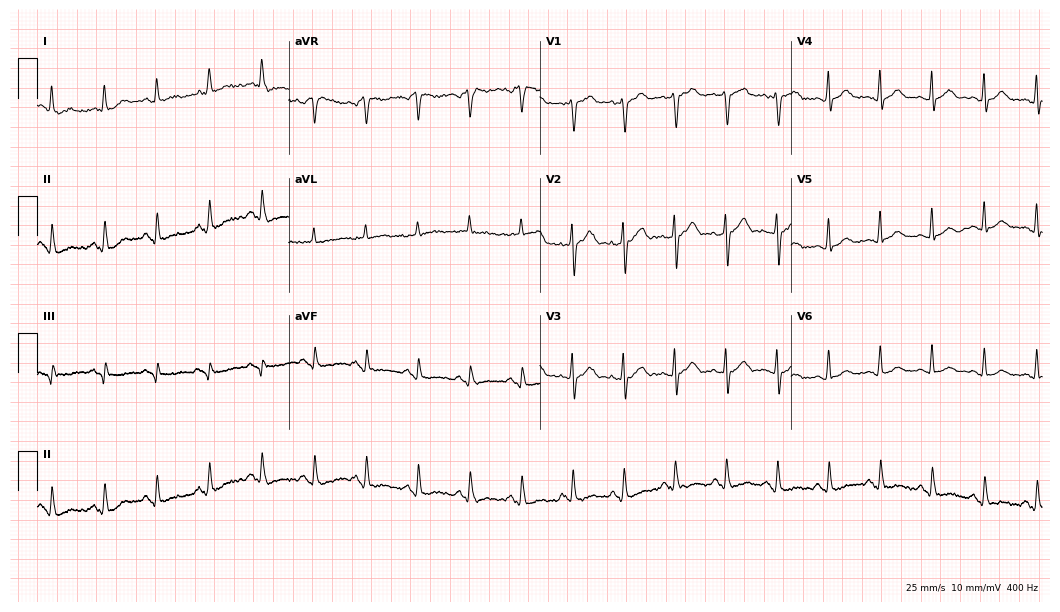
Electrocardiogram (10.2-second recording at 400 Hz), a 45-year-old male. Interpretation includes sinus tachycardia (a sinus rate of 100 beats per minute or more).